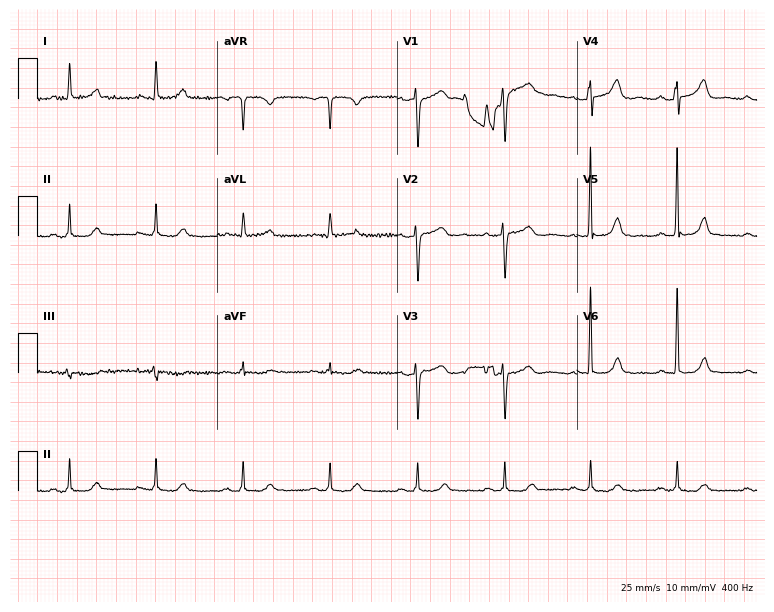
Resting 12-lead electrocardiogram (7.3-second recording at 400 Hz). Patient: a female, 62 years old. Read as a normal ECG.